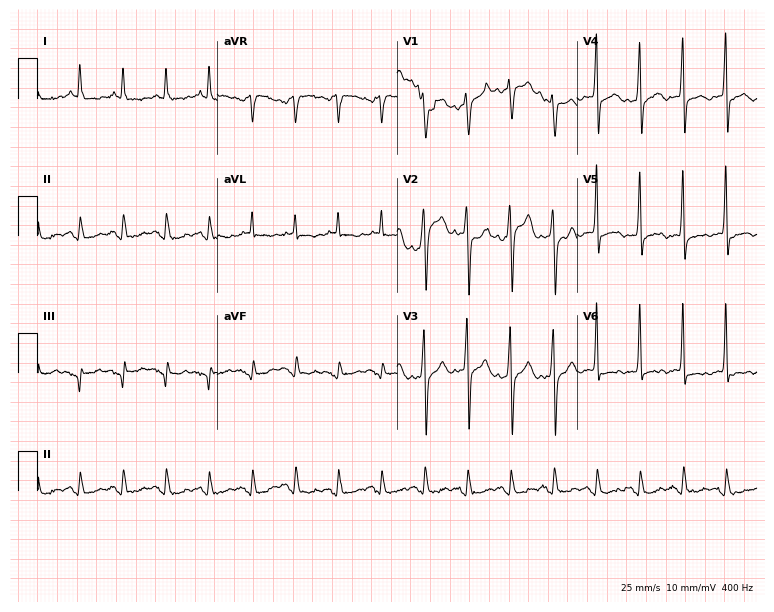
ECG (7.3-second recording at 400 Hz) — a 64-year-old male. Findings include sinus tachycardia (a sinus rate of 100 beats per minute or more).